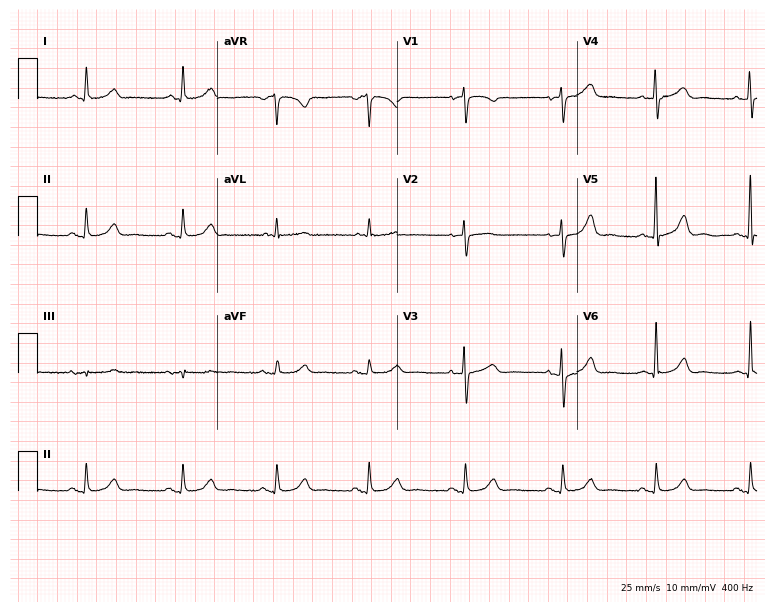
Standard 12-lead ECG recorded from a female, 79 years old (7.3-second recording at 400 Hz). Read as a normal ECG.